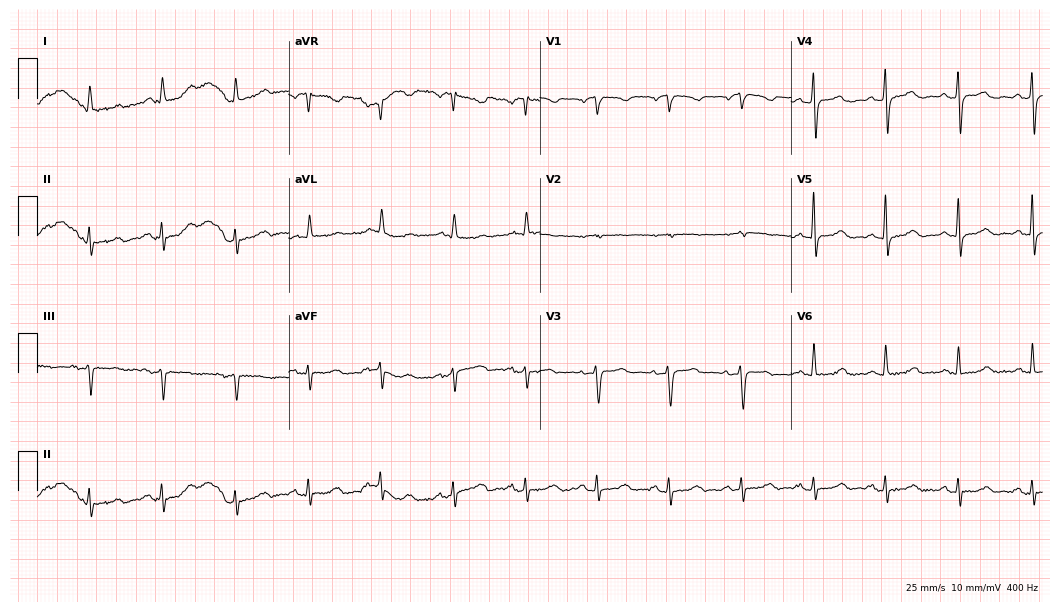
Electrocardiogram (10.2-second recording at 400 Hz), a female, 66 years old. Of the six screened findings (first-degree AV block, right bundle branch block (RBBB), left bundle branch block (LBBB), sinus bradycardia, atrial fibrillation (AF), sinus tachycardia), none is recorded.